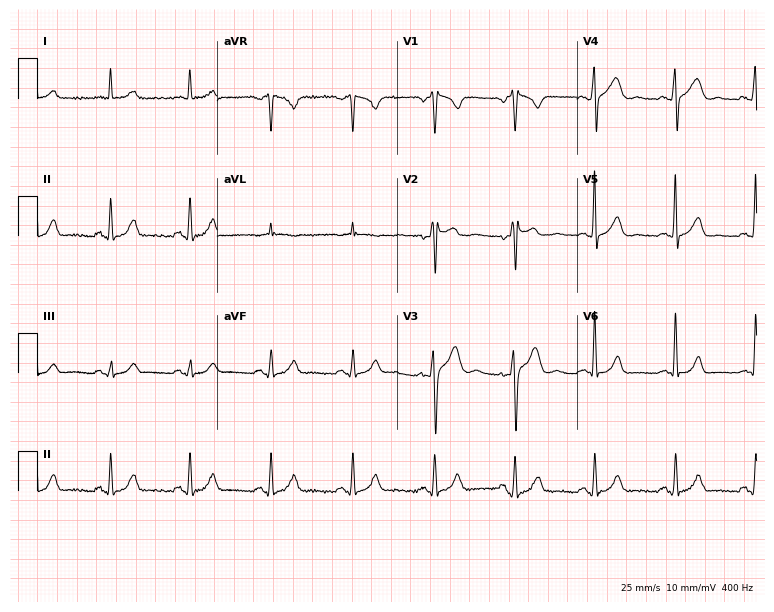
12-lead ECG from a man, 36 years old. Recorded interpretation: within normal limits.